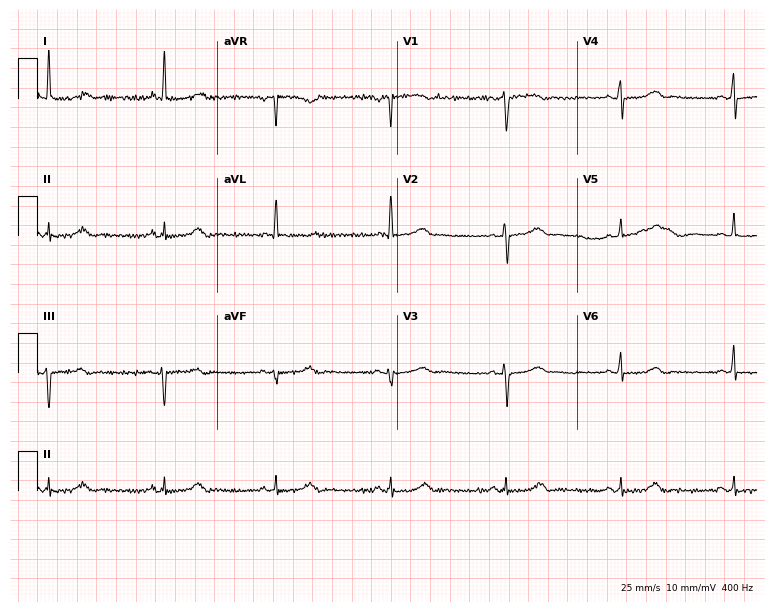
12-lead ECG from a female, 60 years old. No first-degree AV block, right bundle branch block, left bundle branch block, sinus bradycardia, atrial fibrillation or sinus tachycardia recorded for this tracing.